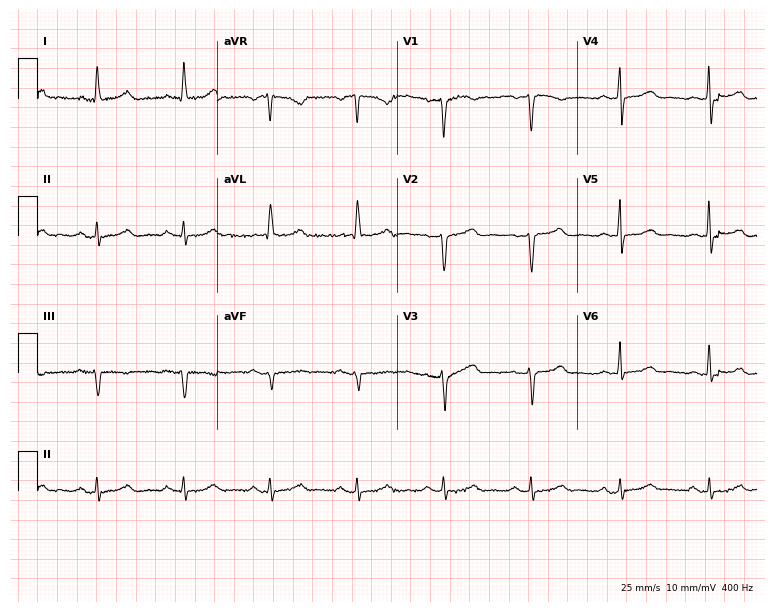
Resting 12-lead electrocardiogram. Patient: a 68-year-old female. Read as a normal ECG.